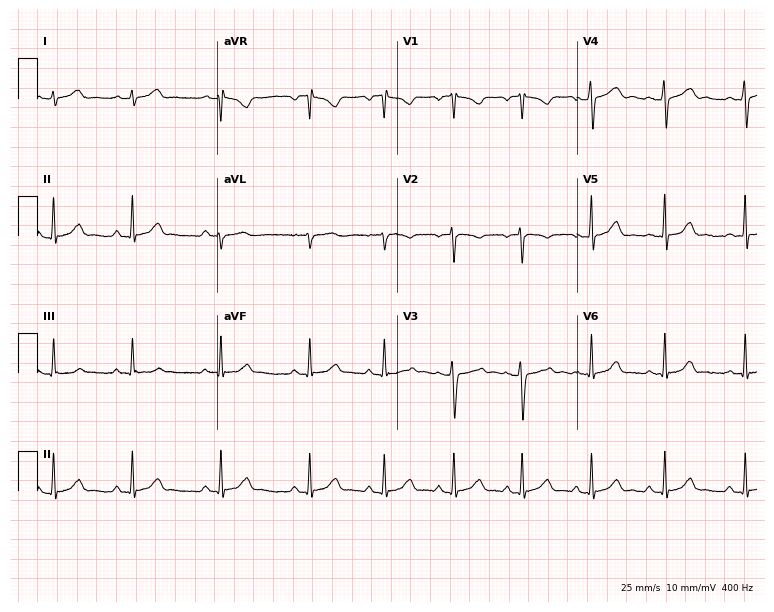
Standard 12-lead ECG recorded from a woman, 22 years old. Read as a normal ECG.